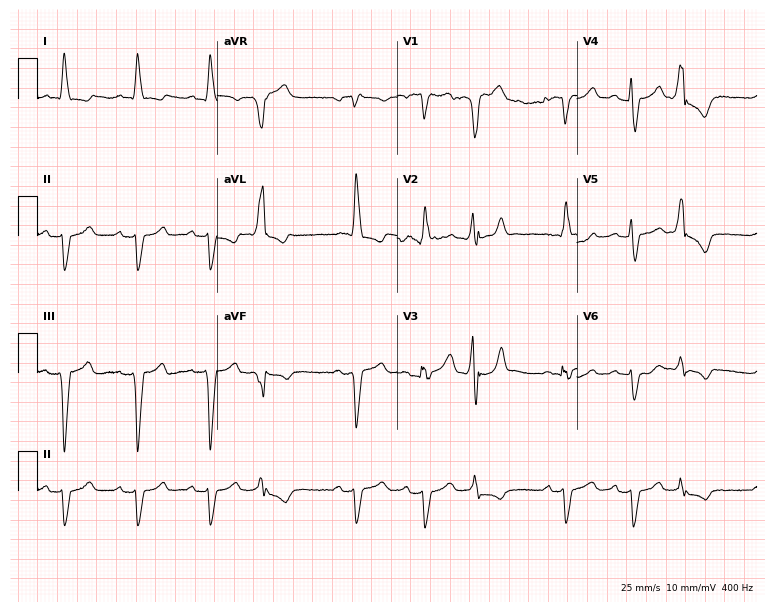
12-lead ECG from a 78-year-old male. Screened for six findings — first-degree AV block, right bundle branch block, left bundle branch block, sinus bradycardia, atrial fibrillation, sinus tachycardia — none is recorded.